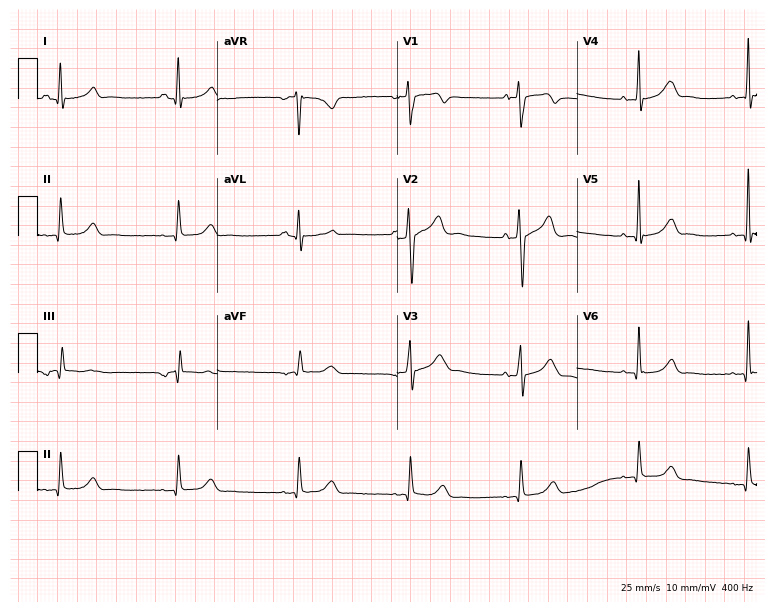
ECG — a man, 45 years old. Screened for six findings — first-degree AV block, right bundle branch block, left bundle branch block, sinus bradycardia, atrial fibrillation, sinus tachycardia — none is recorded. Findings outside these six are not listed.